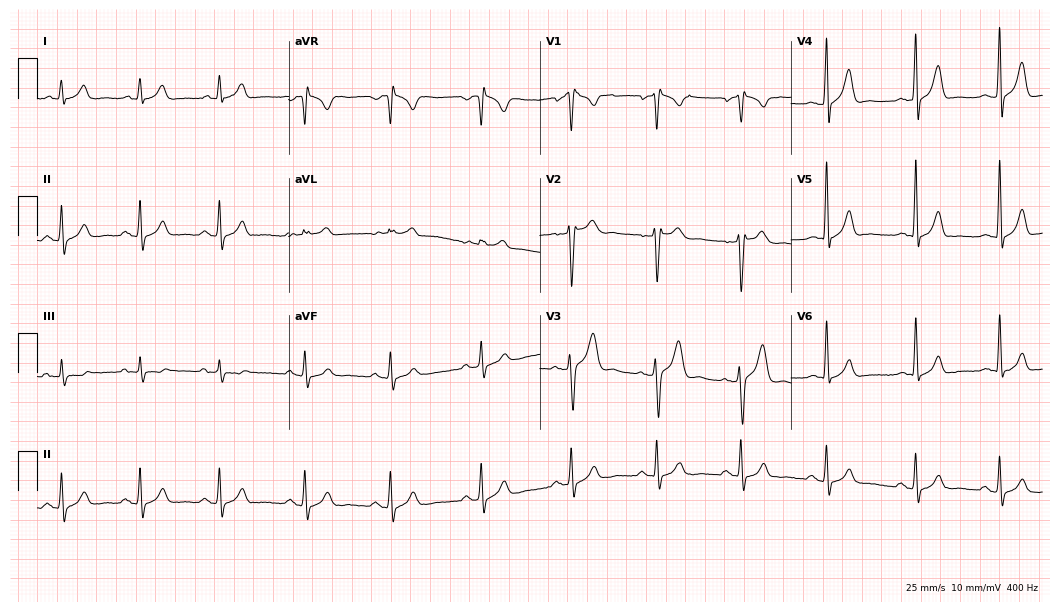
Resting 12-lead electrocardiogram (10.2-second recording at 400 Hz). Patient: a male, 31 years old. None of these six findings is recorded: first-degree AV block, right bundle branch block, left bundle branch block, sinus bradycardia, atrial fibrillation, sinus tachycardia. Only these six findings were labelled.